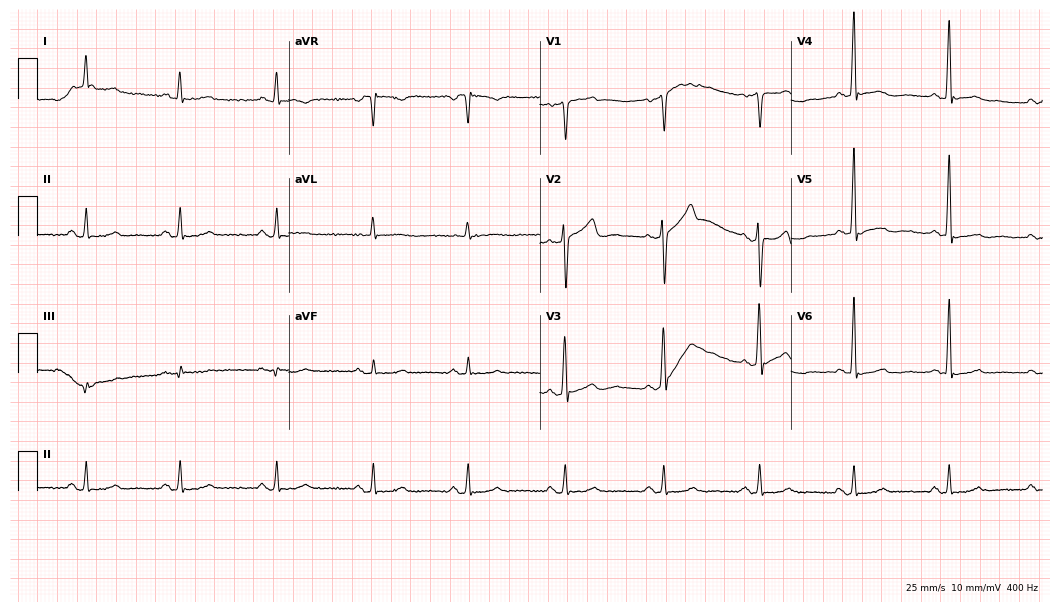
12-lead ECG from a male patient, 78 years old (10.2-second recording at 400 Hz). No first-degree AV block, right bundle branch block (RBBB), left bundle branch block (LBBB), sinus bradycardia, atrial fibrillation (AF) or sinus tachycardia recorded for this tracing.